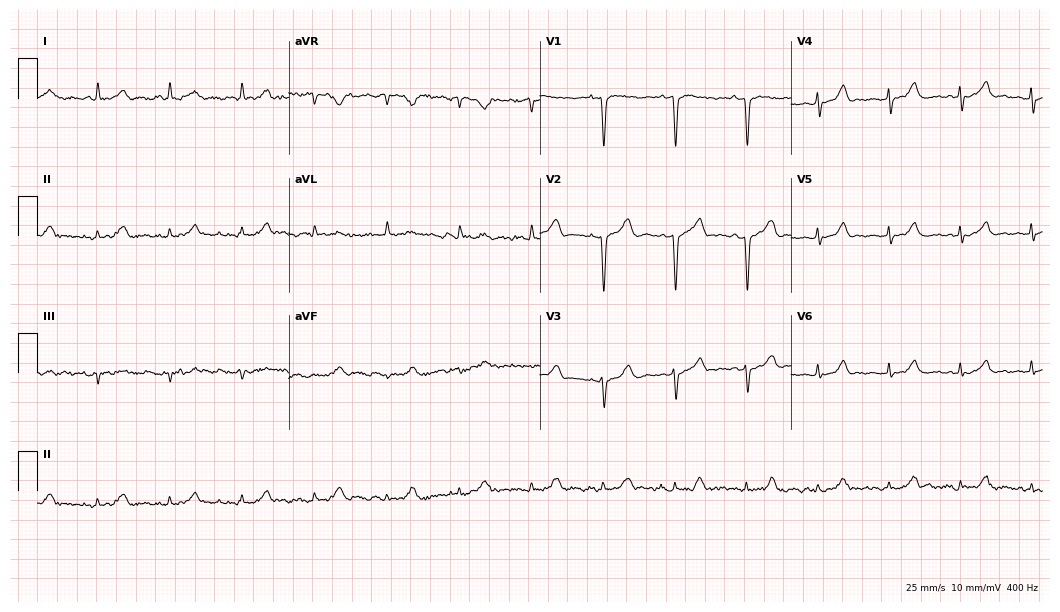
ECG — a 73-year-old female patient. Screened for six findings — first-degree AV block, right bundle branch block, left bundle branch block, sinus bradycardia, atrial fibrillation, sinus tachycardia — none is recorded. Only these six findings were labelled.